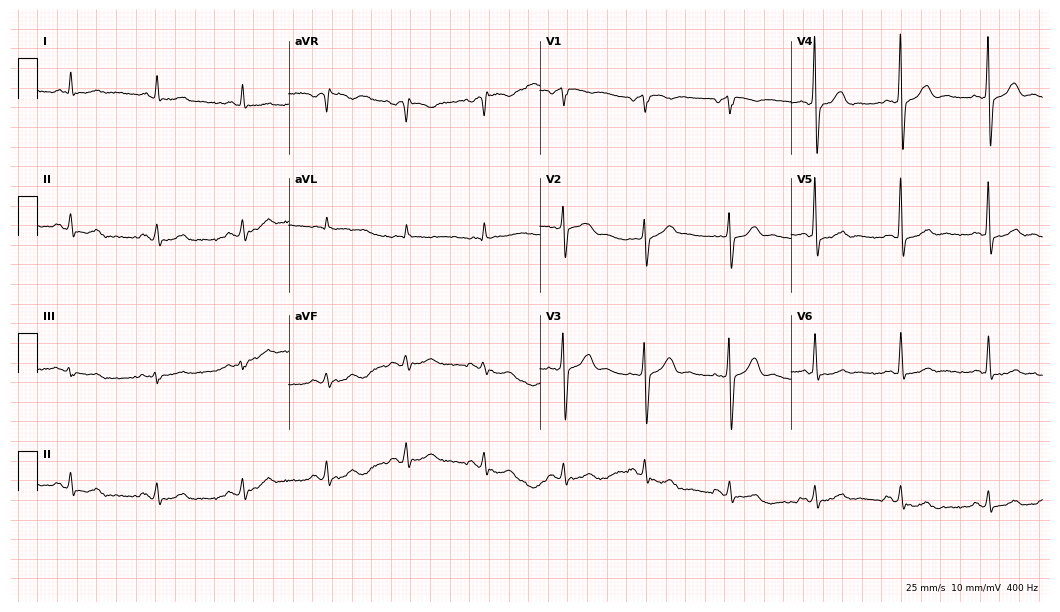
12-lead ECG (10.2-second recording at 400 Hz) from a male, 57 years old. Labelled as a normal ECG.